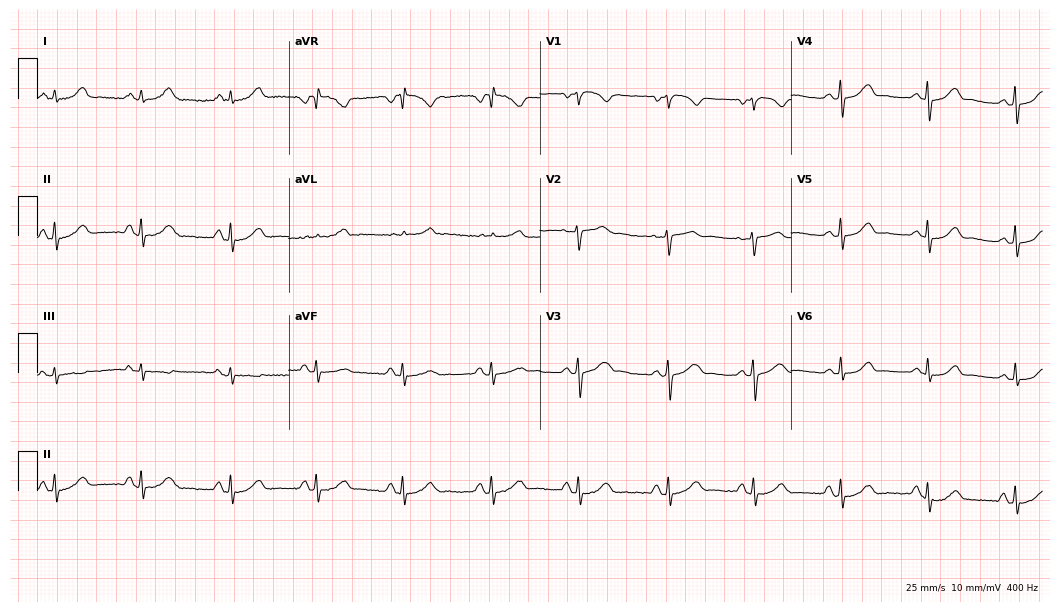
12-lead ECG from a woman, 25 years old. Screened for six findings — first-degree AV block, right bundle branch block, left bundle branch block, sinus bradycardia, atrial fibrillation, sinus tachycardia — none is recorded.